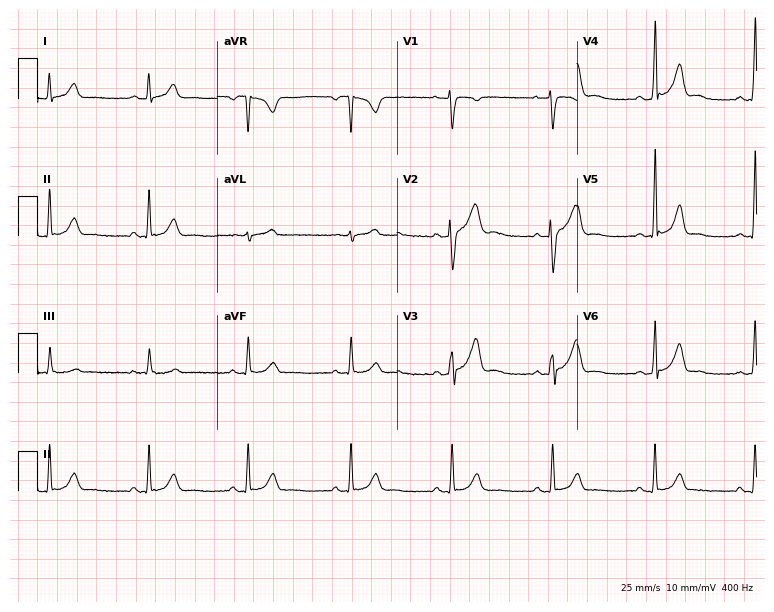
12-lead ECG from a male, 26 years old. Recorded interpretation: within normal limits.